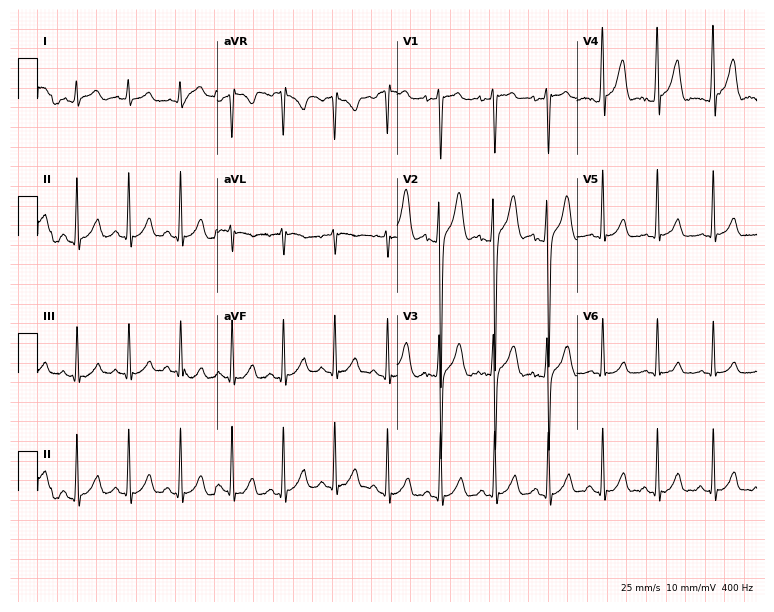
Electrocardiogram (7.3-second recording at 400 Hz), a 23-year-old male. Interpretation includes sinus tachycardia (a sinus rate of 100 beats per minute or more).